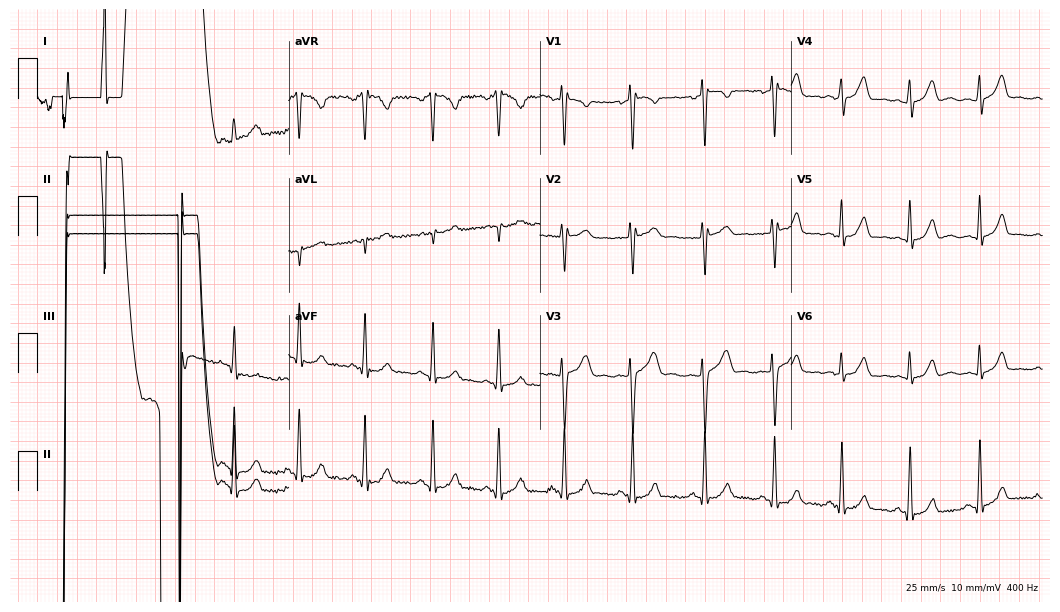
Electrocardiogram, a woman, 22 years old. Of the six screened findings (first-degree AV block, right bundle branch block (RBBB), left bundle branch block (LBBB), sinus bradycardia, atrial fibrillation (AF), sinus tachycardia), none is recorded. Findings outside these six are not listed.